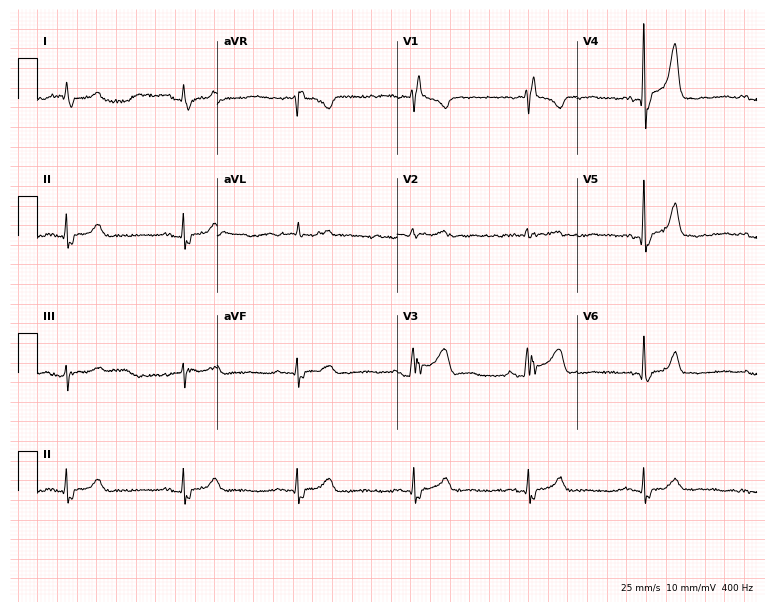
12-lead ECG (7.3-second recording at 400 Hz) from a 58-year-old man. Findings include right bundle branch block.